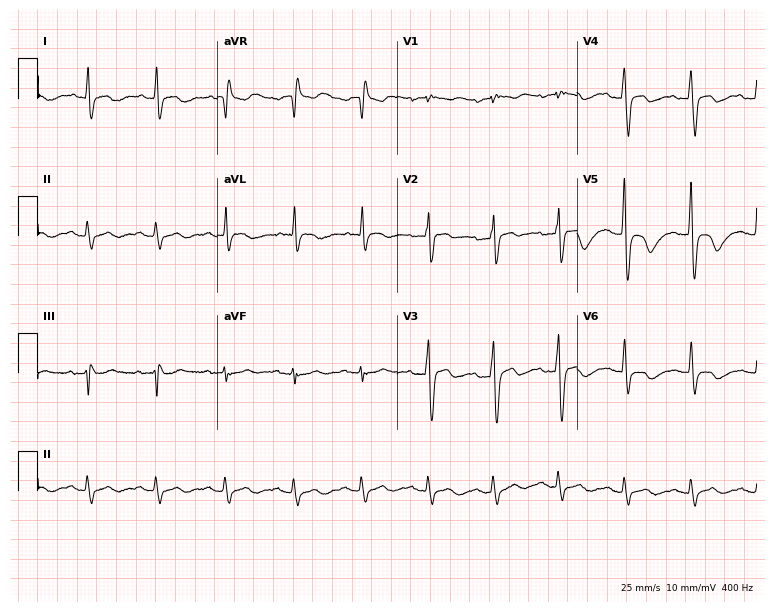
Standard 12-lead ECG recorded from a male, 52 years old. None of these six findings is recorded: first-degree AV block, right bundle branch block, left bundle branch block, sinus bradycardia, atrial fibrillation, sinus tachycardia. Findings outside these six are not listed.